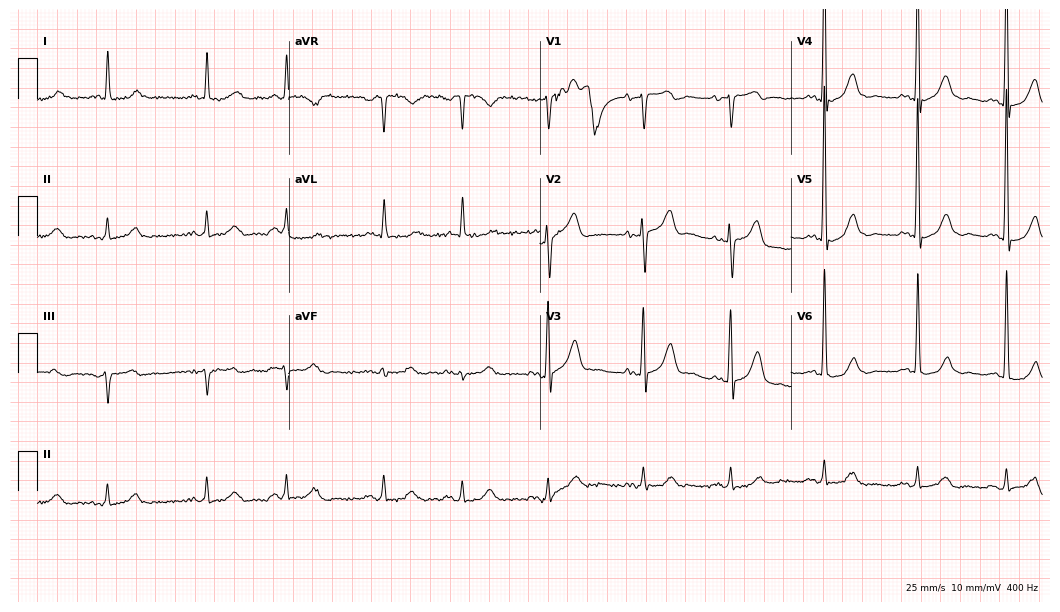
12-lead ECG (10.2-second recording at 400 Hz) from an 81-year-old male patient. Screened for six findings — first-degree AV block, right bundle branch block, left bundle branch block, sinus bradycardia, atrial fibrillation, sinus tachycardia — none is recorded. Only these six findings were labelled.